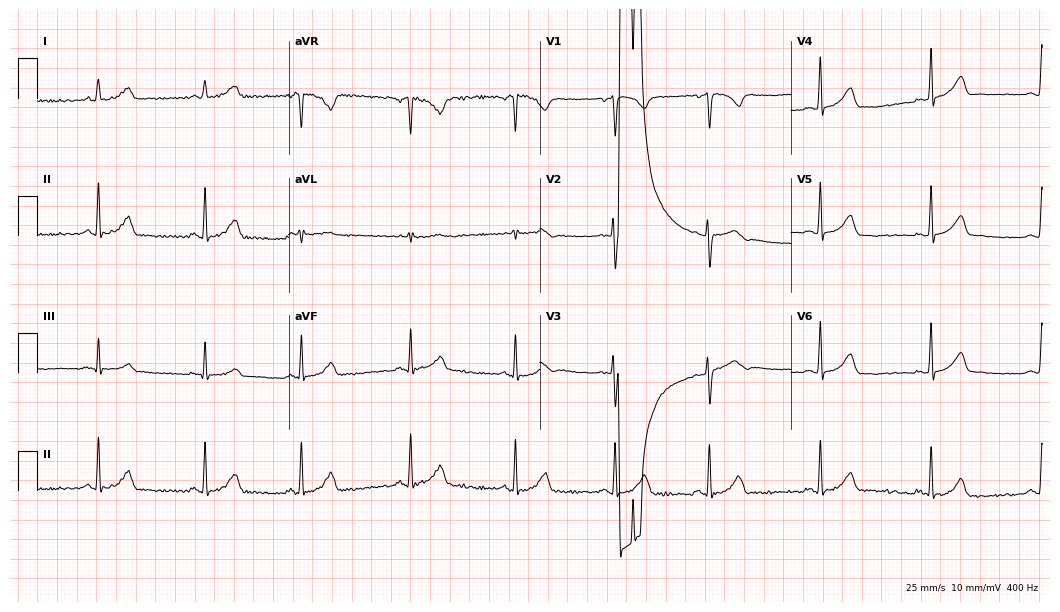
Electrocardiogram, a 19-year-old female patient. Overall reading on record: normal ECG.